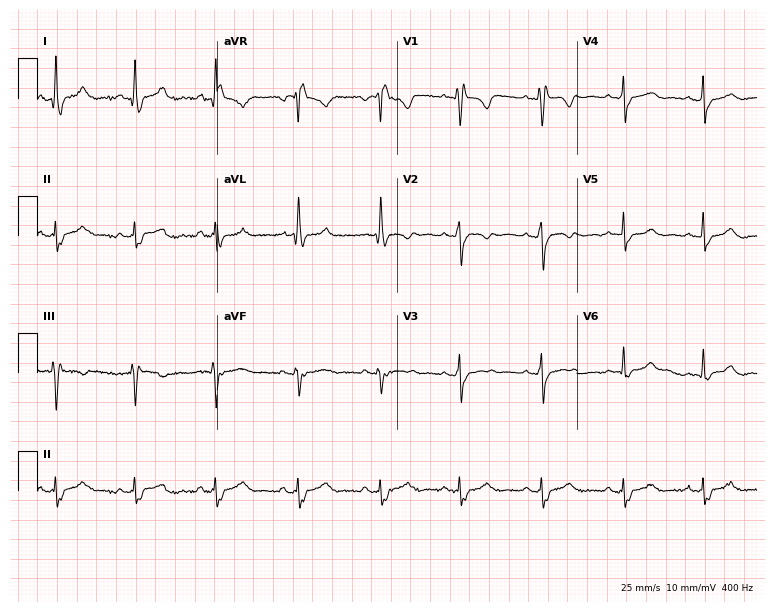
Standard 12-lead ECG recorded from a woman, 22 years old (7.3-second recording at 400 Hz). The tracing shows right bundle branch block.